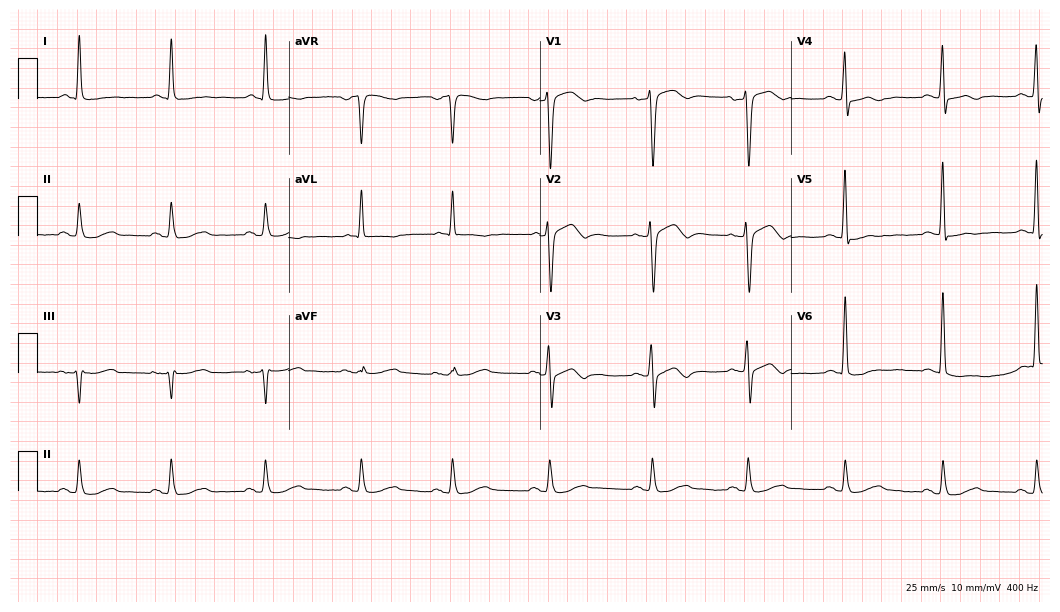
ECG (10.2-second recording at 400 Hz) — a 54-year-old male. Screened for six findings — first-degree AV block, right bundle branch block (RBBB), left bundle branch block (LBBB), sinus bradycardia, atrial fibrillation (AF), sinus tachycardia — none is recorded.